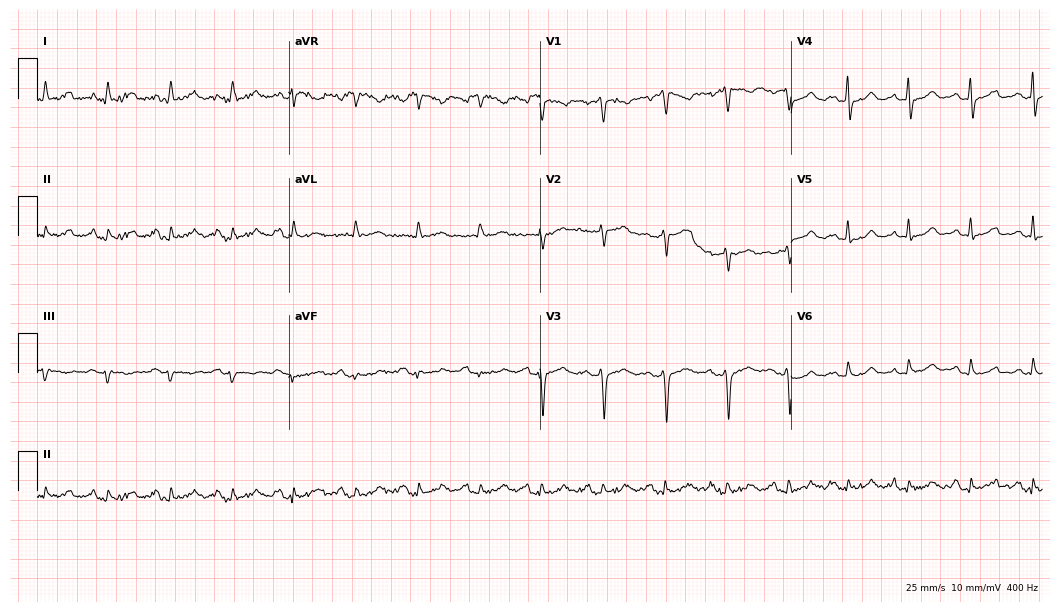
12-lead ECG (10.2-second recording at 400 Hz) from a female, 52 years old. Screened for six findings — first-degree AV block, right bundle branch block, left bundle branch block, sinus bradycardia, atrial fibrillation, sinus tachycardia — none is recorded.